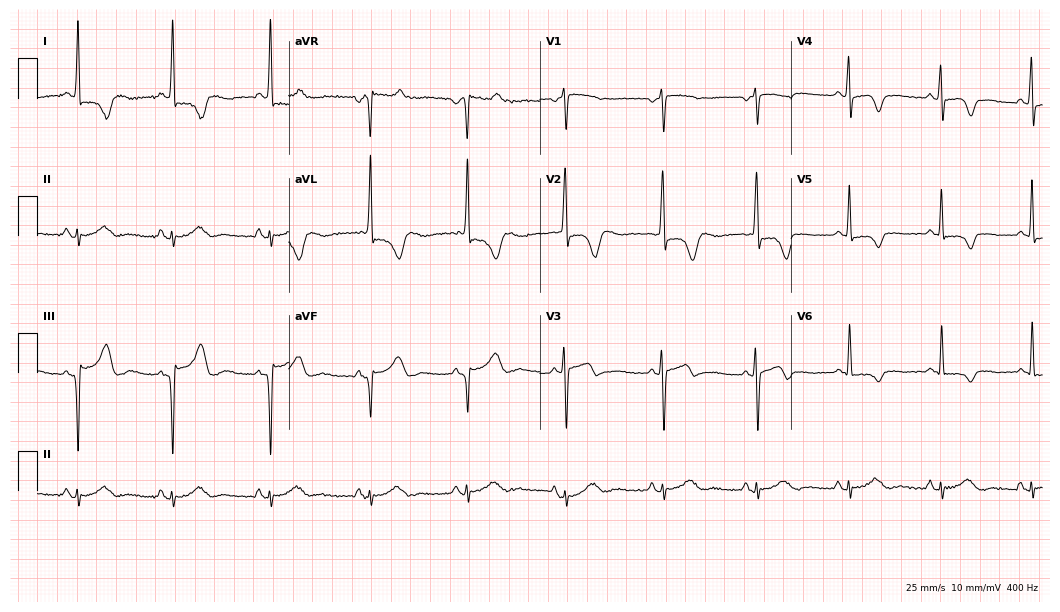
Standard 12-lead ECG recorded from a woman, 49 years old. None of these six findings is recorded: first-degree AV block, right bundle branch block, left bundle branch block, sinus bradycardia, atrial fibrillation, sinus tachycardia. Findings outside these six are not listed.